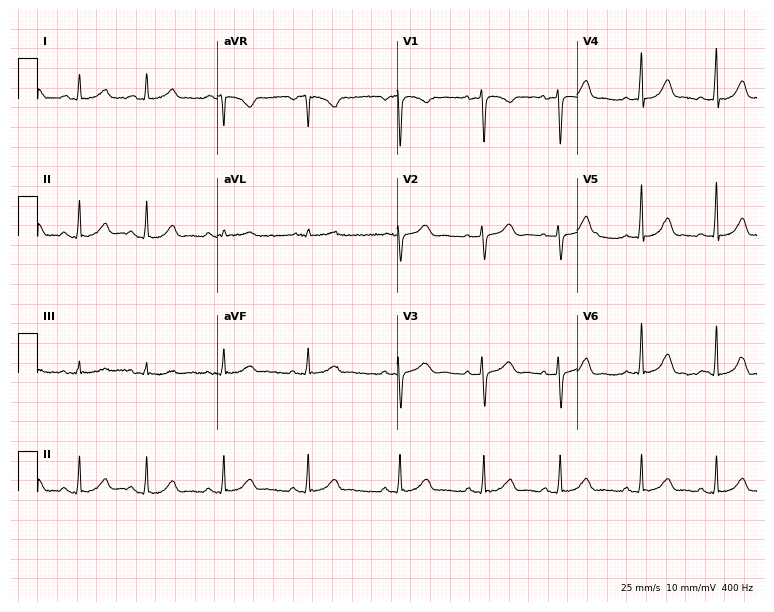
12-lead ECG from a 30-year-old woman. No first-degree AV block, right bundle branch block (RBBB), left bundle branch block (LBBB), sinus bradycardia, atrial fibrillation (AF) or sinus tachycardia recorded for this tracing.